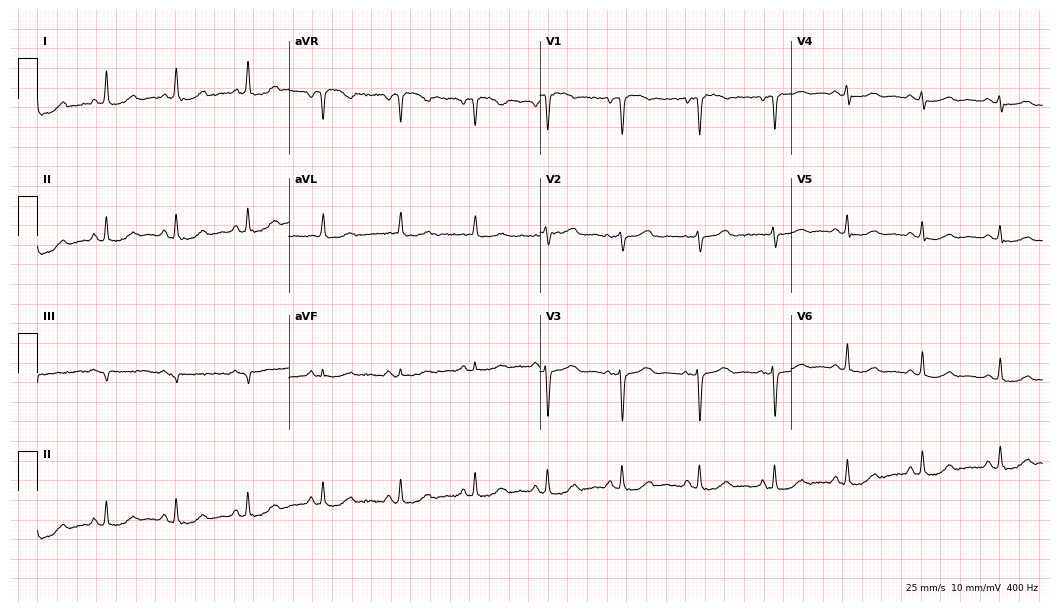
Electrocardiogram, a 66-year-old female. Overall reading on record: normal ECG.